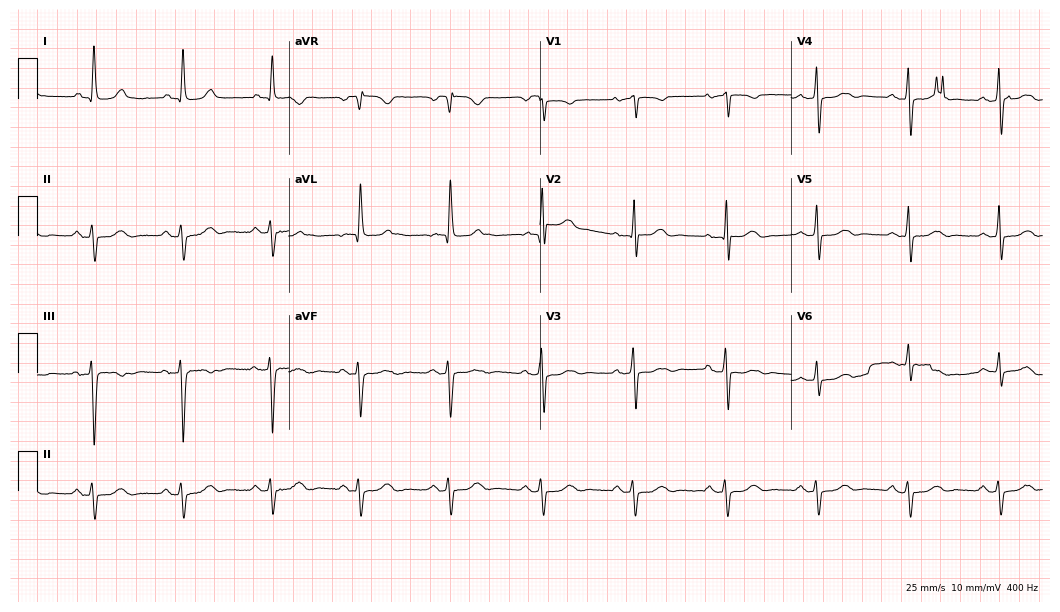
12-lead ECG from a female, 70 years old. Screened for six findings — first-degree AV block, right bundle branch block, left bundle branch block, sinus bradycardia, atrial fibrillation, sinus tachycardia — none is recorded.